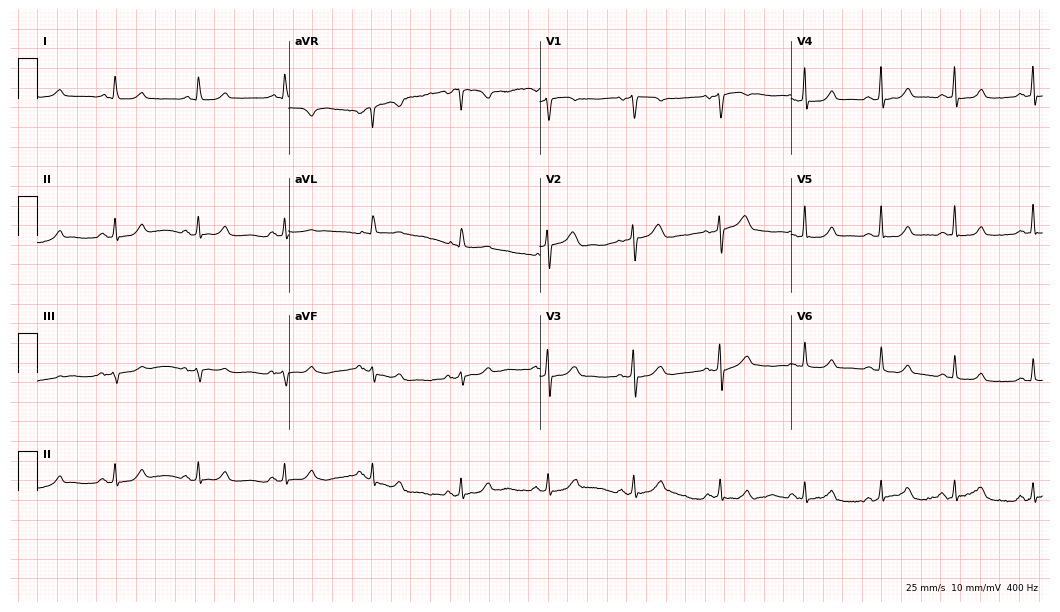
Electrocardiogram (10.2-second recording at 400 Hz), a female patient, 61 years old. Overall reading on record: normal ECG.